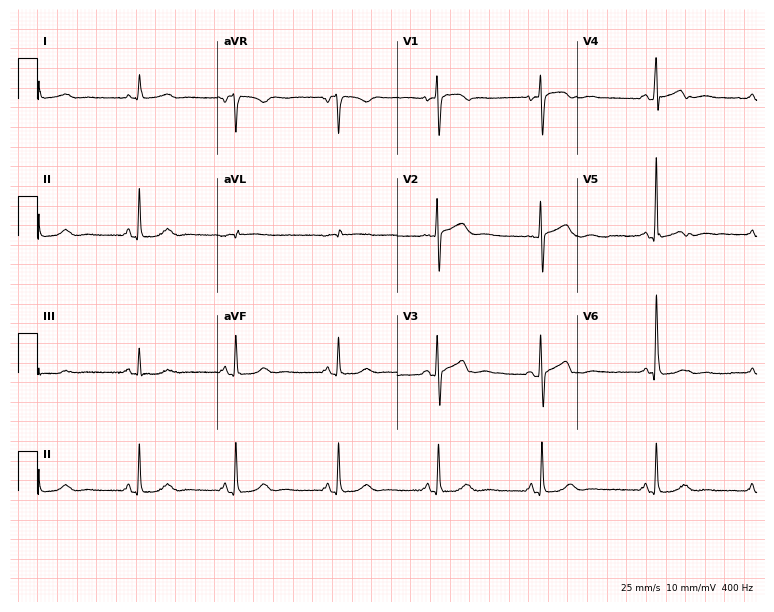
12-lead ECG from an 80-year-old female. Recorded interpretation: within normal limits.